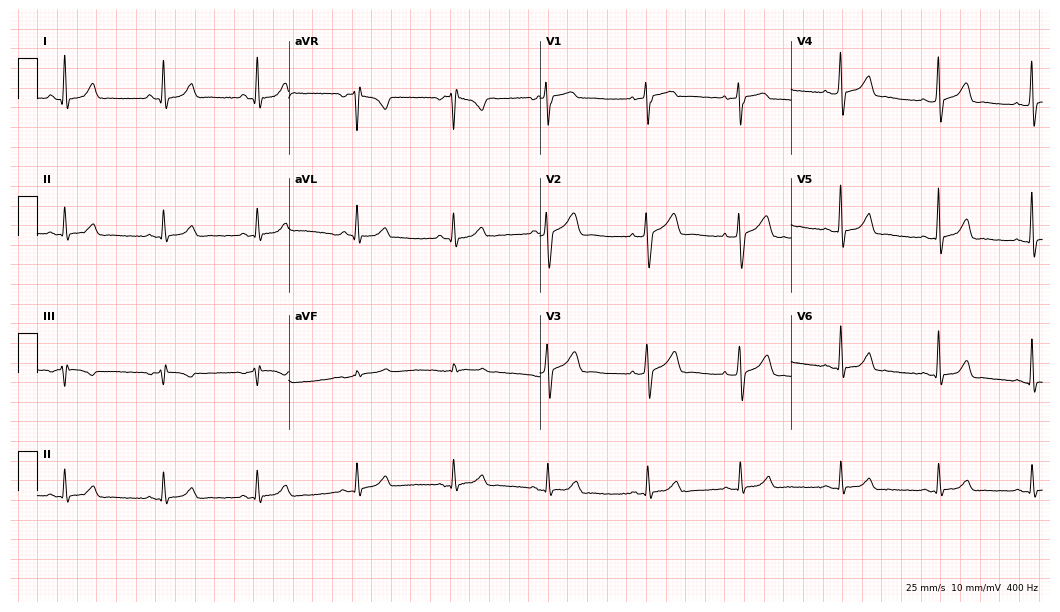
12-lead ECG (10.2-second recording at 400 Hz) from a woman, 39 years old. Labelled as a normal ECG.